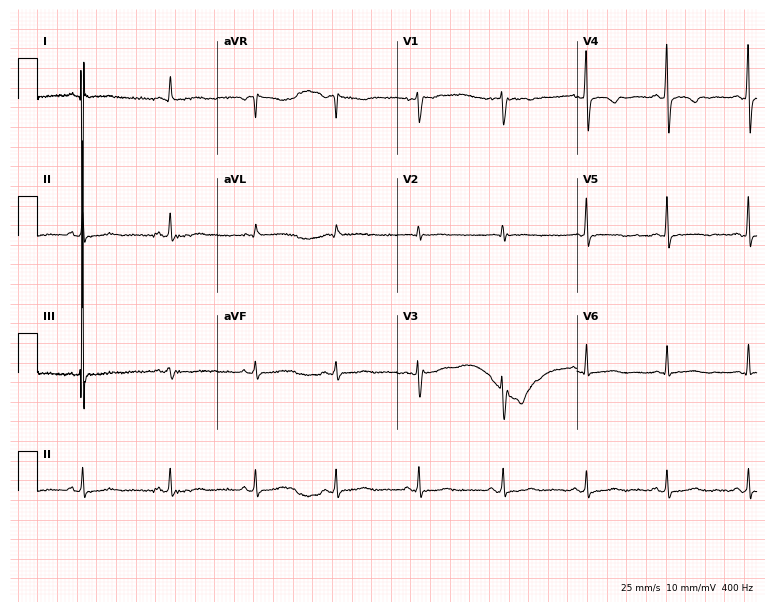
Resting 12-lead electrocardiogram (7.3-second recording at 400 Hz). Patient: a woman, 31 years old. None of these six findings is recorded: first-degree AV block, right bundle branch block, left bundle branch block, sinus bradycardia, atrial fibrillation, sinus tachycardia. Only these six findings were labelled.